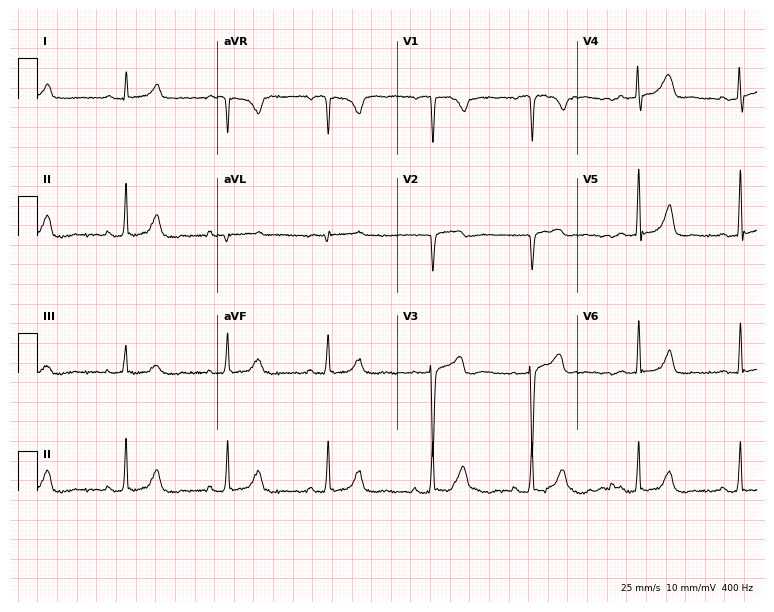
Standard 12-lead ECG recorded from a 40-year-old woman (7.3-second recording at 400 Hz). Read as a normal ECG.